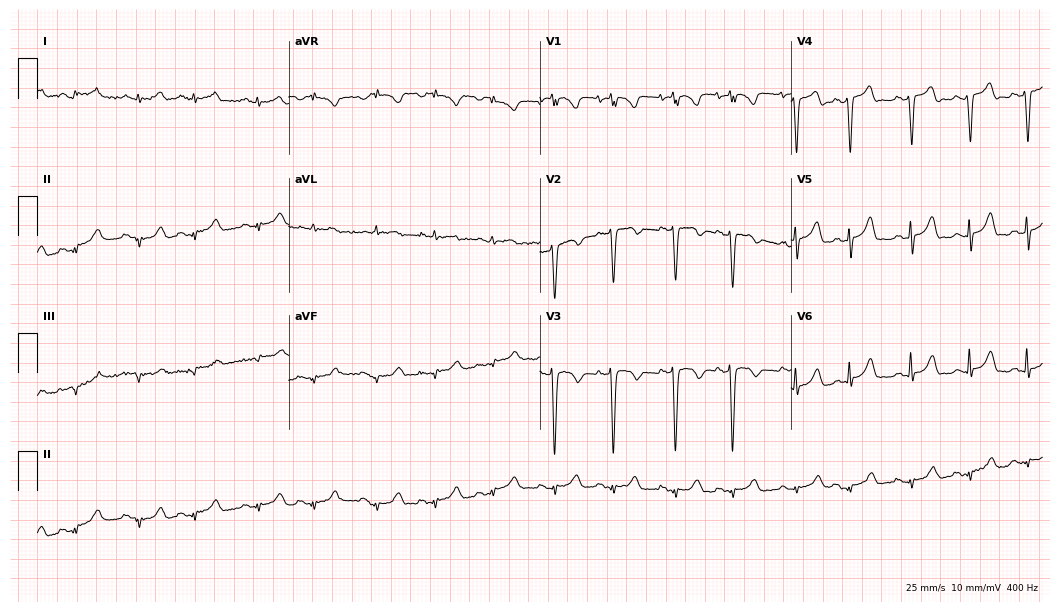
ECG (10.2-second recording at 400 Hz) — a woman, 85 years old. Screened for six findings — first-degree AV block, right bundle branch block, left bundle branch block, sinus bradycardia, atrial fibrillation, sinus tachycardia — none is recorded. Findings outside these six are not listed.